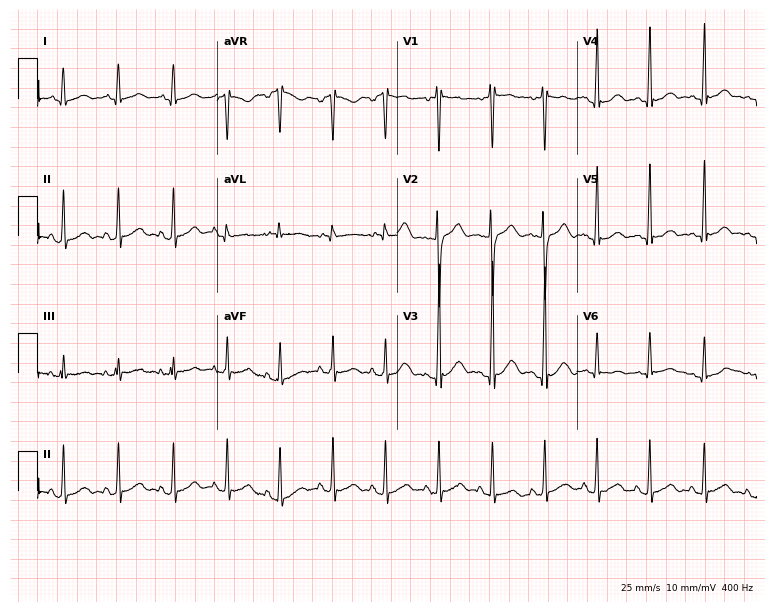
12-lead ECG from a male patient, 17 years old. Findings include sinus tachycardia (a sinus rate of 100 beats per minute or more).